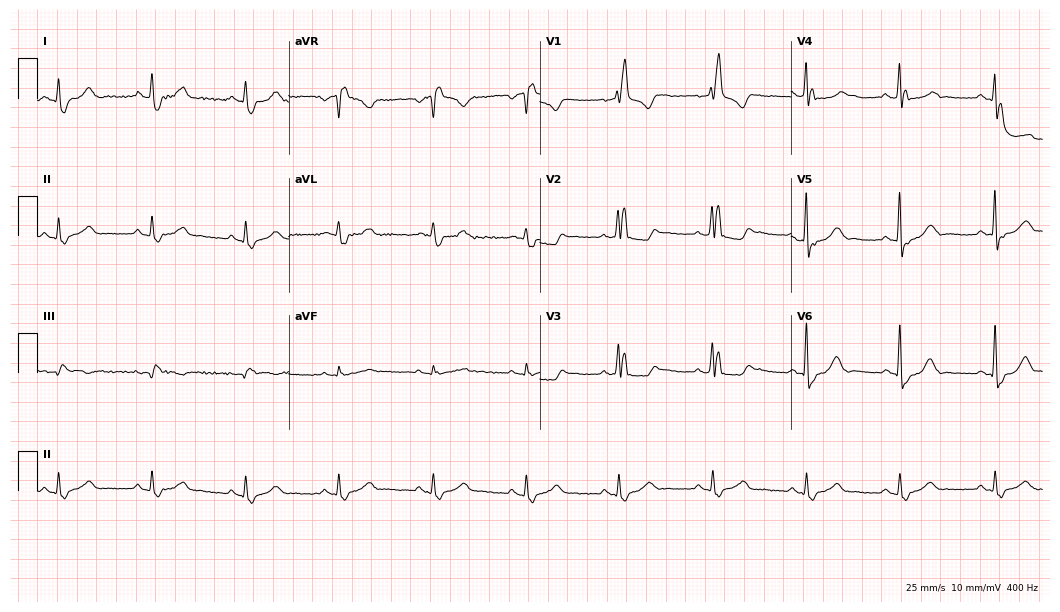
Standard 12-lead ECG recorded from a 79-year-old male patient (10.2-second recording at 400 Hz). The tracing shows right bundle branch block (RBBB).